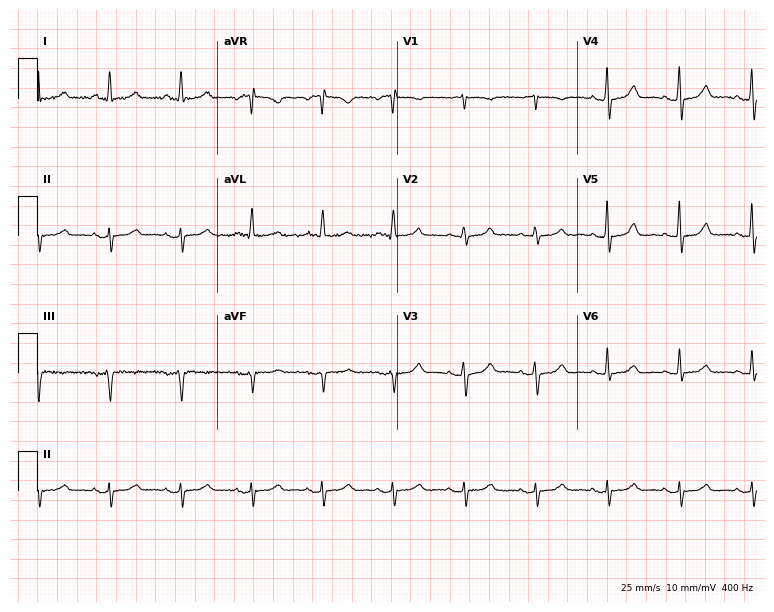
12-lead ECG from a 79-year-old female patient. No first-degree AV block, right bundle branch block, left bundle branch block, sinus bradycardia, atrial fibrillation or sinus tachycardia recorded for this tracing. Other findings, if any, are not listed.